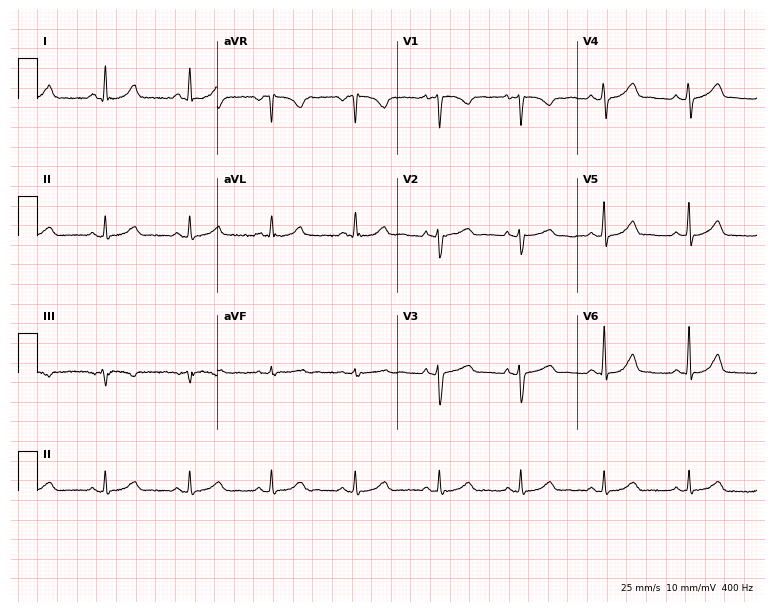
Resting 12-lead electrocardiogram. Patient: a 41-year-old female. Read as a normal ECG.